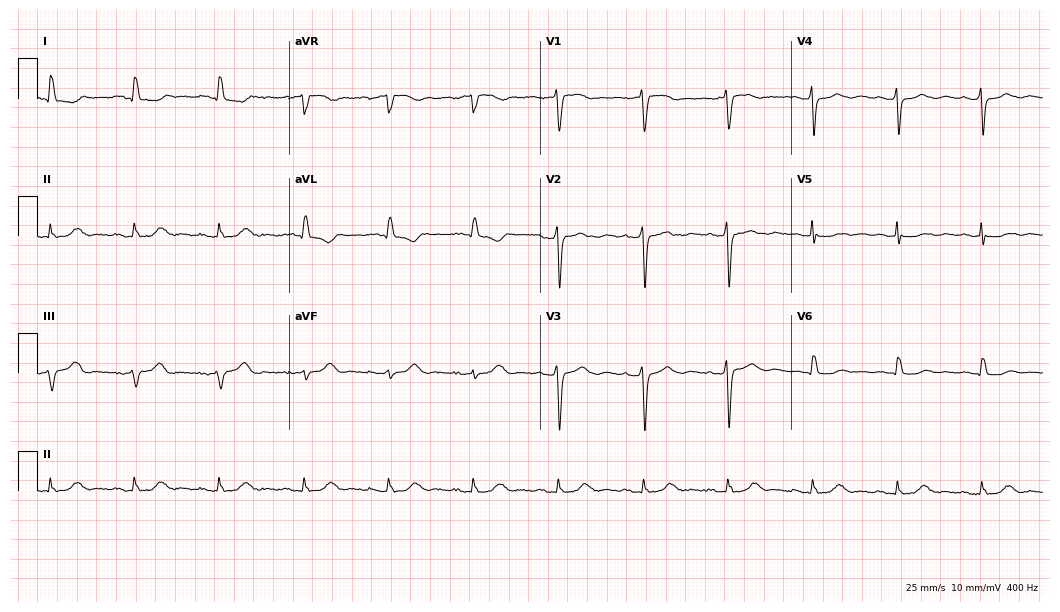
Electrocardiogram, a female, 74 years old. Overall reading on record: normal ECG.